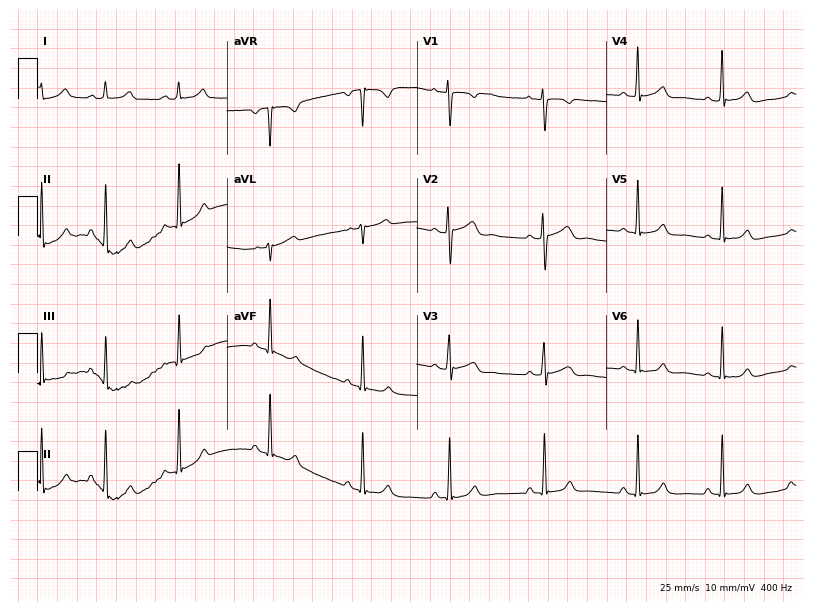
ECG — a female, 28 years old. Labelled as a normal ECG.